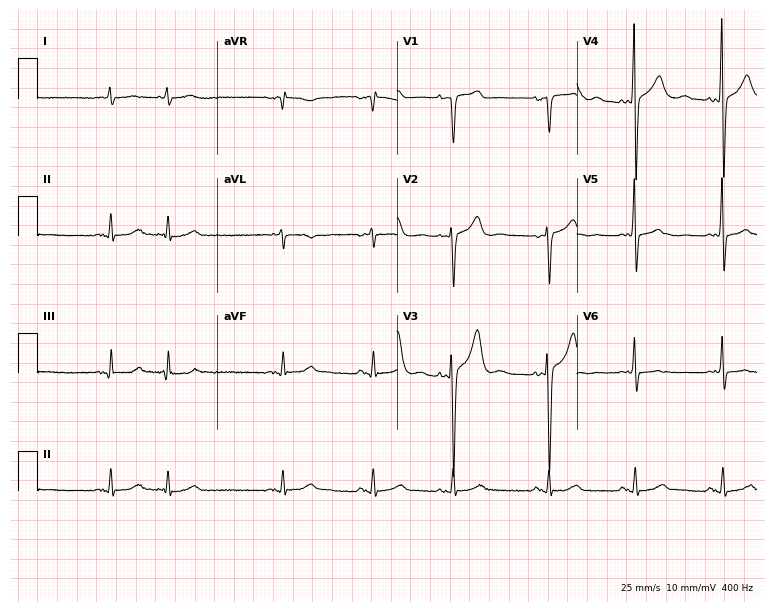
ECG — a 78-year-old male patient. Screened for six findings — first-degree AV block, right bundle branch block (RBBB), left bundle branch block (LBBB), sinus bradycardia, atrial fibrillation (AF), sinus tachycardia — none is recorded. Findings outside these six are not listed.